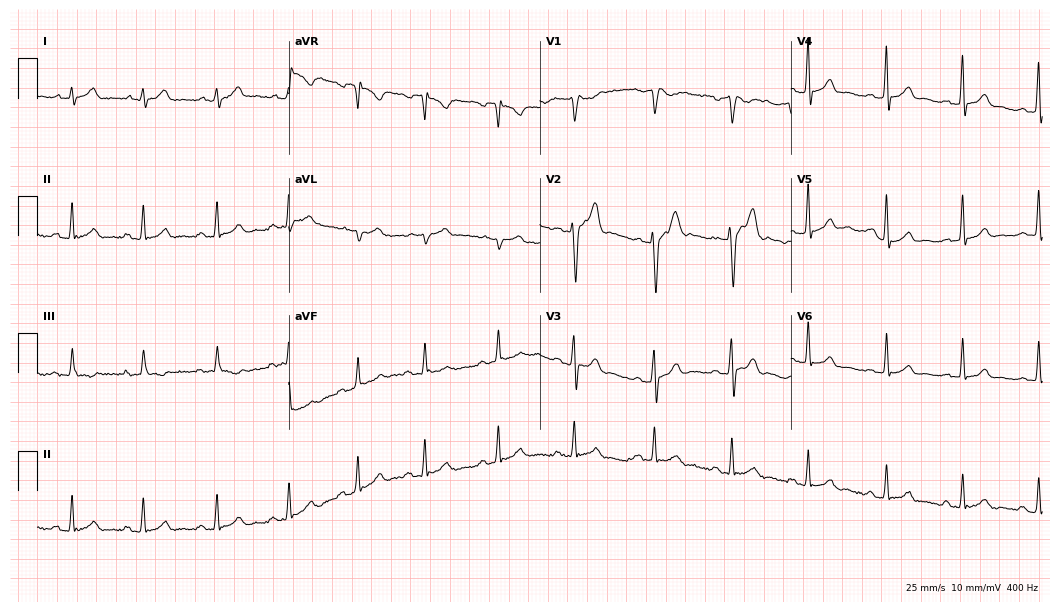
12-lead ECG from a male, 29 years old. Screened for six findings — first-degree AV block, right bundle branch block (RBBB), left bundle branch block (LBBB), sinus bradycardia, atrial fibrillation (AF), sinus tachycardia — none is recorded. Only these six findings were labelled.